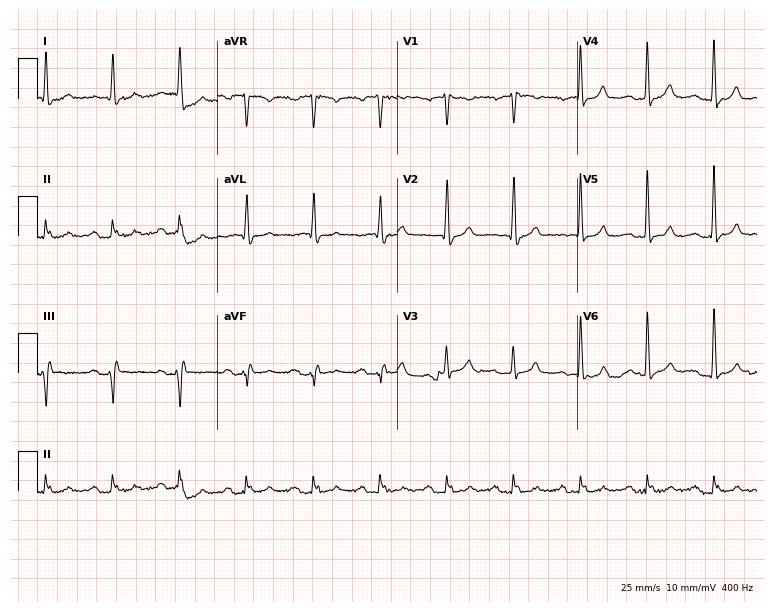
12-lead ECG from a man, 69 years old. Screened for six findings — first-degree AV block, right bundle branch block, left bundle branch block, sinus bradycardia, atrial fibrillation, sinus tachycardia — none is recorded.